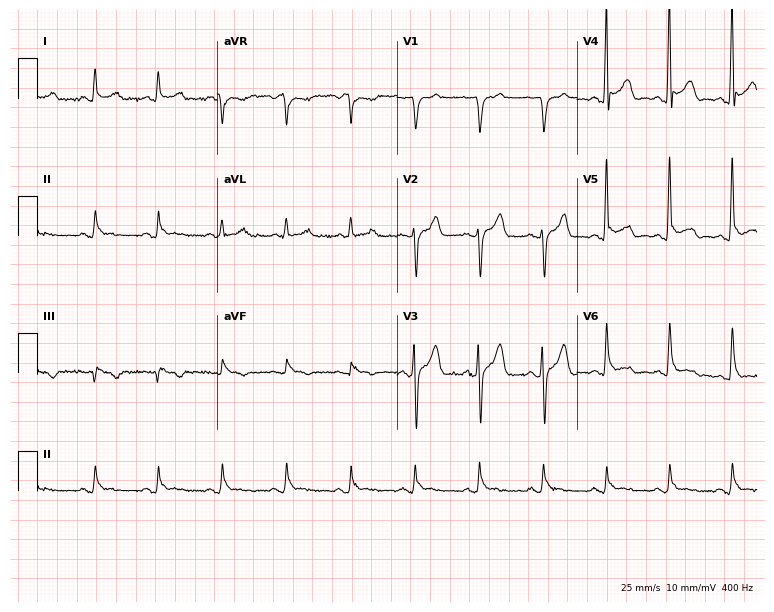
ECG — a man, 56 years old. Screened for six findings — first-degree AV block, right bundle branch block, left bundle branch block, sinus bradycardia, atrial fibrillation, sinus tachycardia — none is recorded.